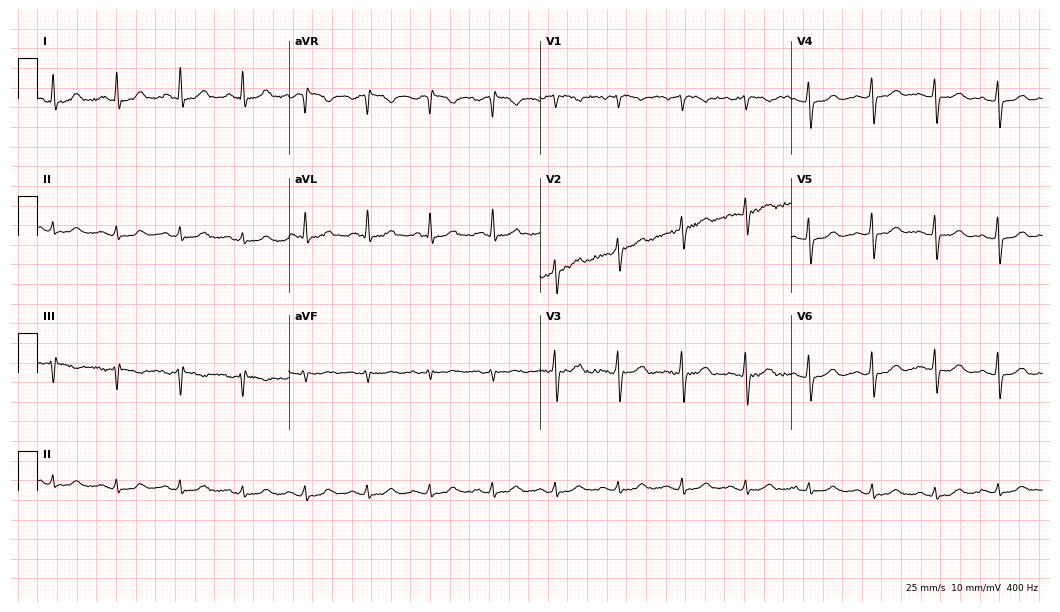
ECG (10.2-second recording at 400 Hz) — a woman, 59 years old. Screened for six findings — first-degree AV block, right bundle branch block, left bundle branch block, sinus bradycardia, atrial fibrillation, sinus tachycardia — none is recorded.